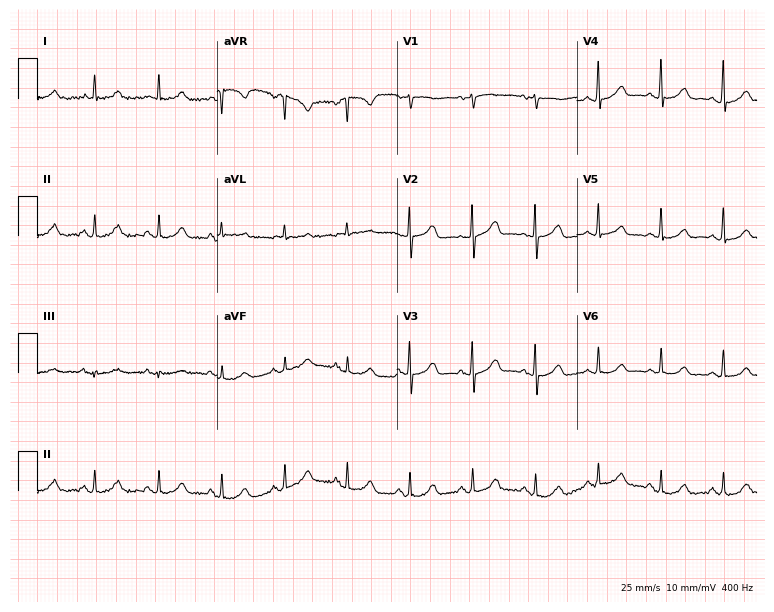
12-lead ECG from a 75-year-old female patient. Labelled as a normal ECG.